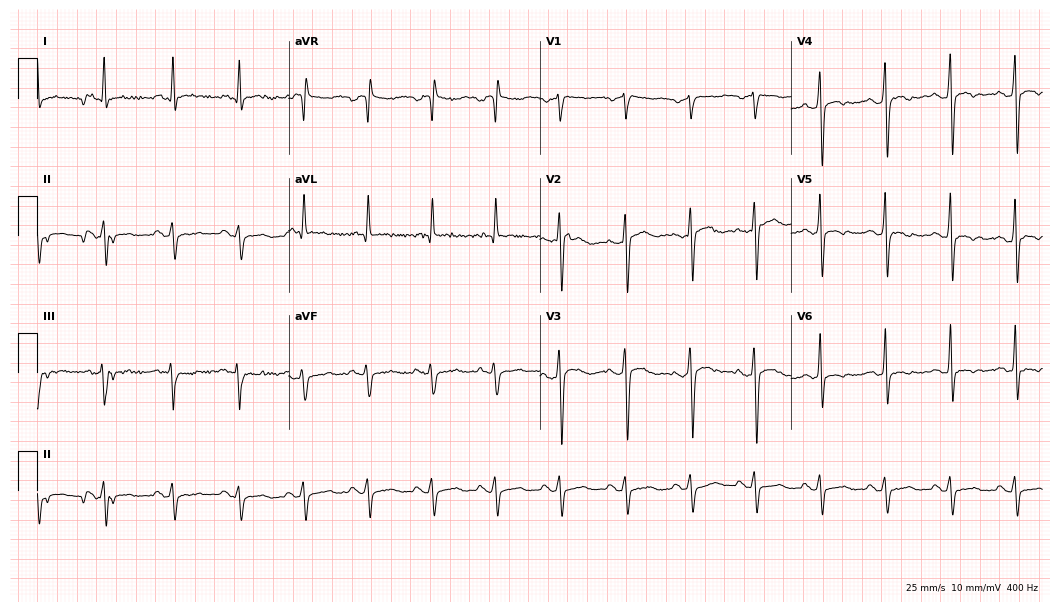
ECG (10.2-second recording at 400 Hz) — a 36-year-old male patient. Screened for six findings — first-degree AV block, right bundle branch block, left bundle branch block, sinus bradycardia, atrial fibrillation, sinus tachycardia — none is recorded.